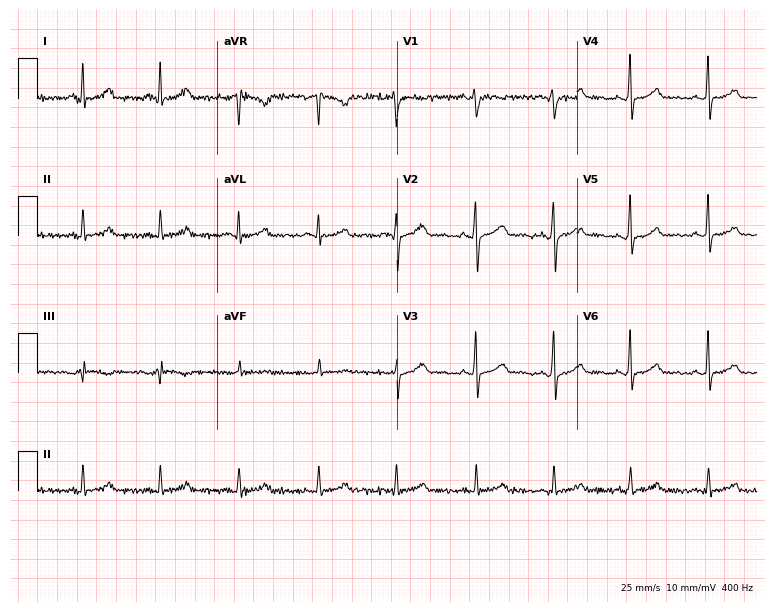
12-lead ECG (7.3-second recording at 400 Hz) from a woman, 30 years old. Labelled as a normal ECG.